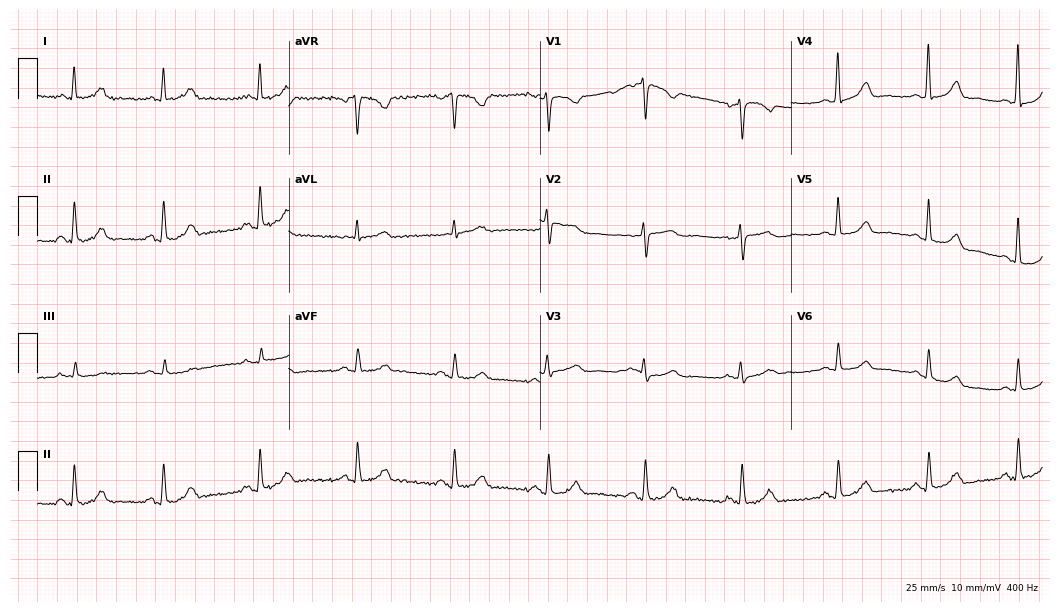
Standard 12-lead ECG recorded from a woman, 45 years old. None of these six findings is recorded: first-degree AV block, right bundle branch block, left bundle branch block, sinus bradycardia, atrial fibrillation, sinus tachycardia.